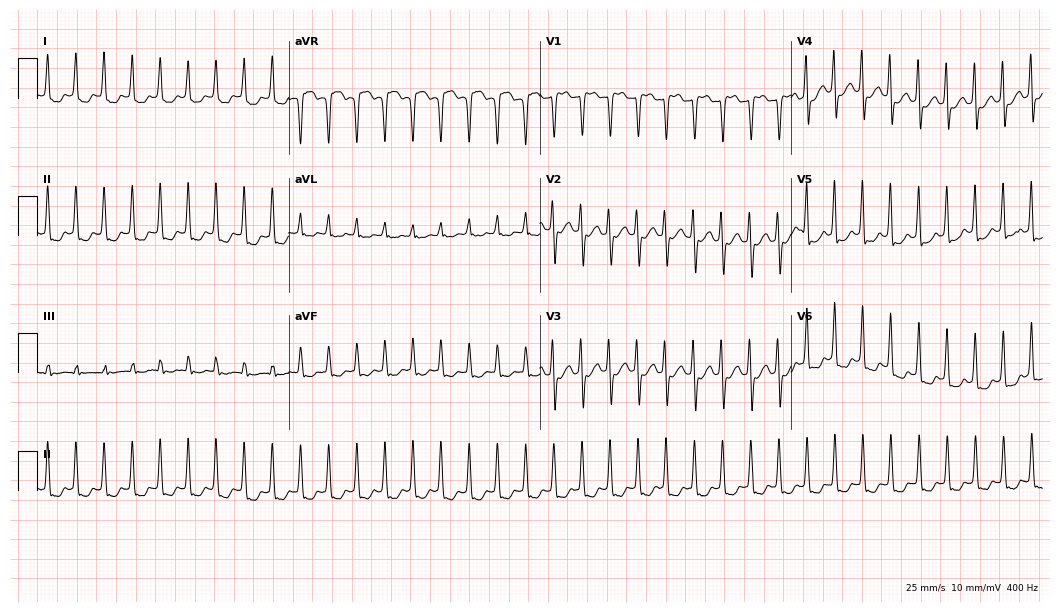
12-lead ECG from a 41-year-old female (10.2-second recording at 400 Hz). No first-degree AV block, right bundle branch block, left bundle branch block, sinus bradycardia, atrial fibrillation or sinus tachycardia recorded for this tracing. Findings outside these six are not listed.